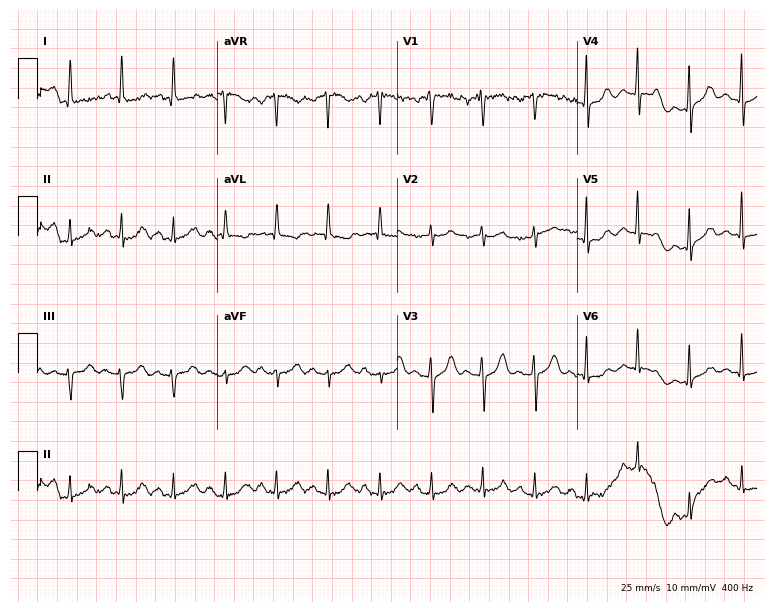
ECG (7.3-second recording at 400 Hz) — a 78-year-old female patient. Findings include sinus tachycardia (a sinus rate of 100 beats per minute or more).